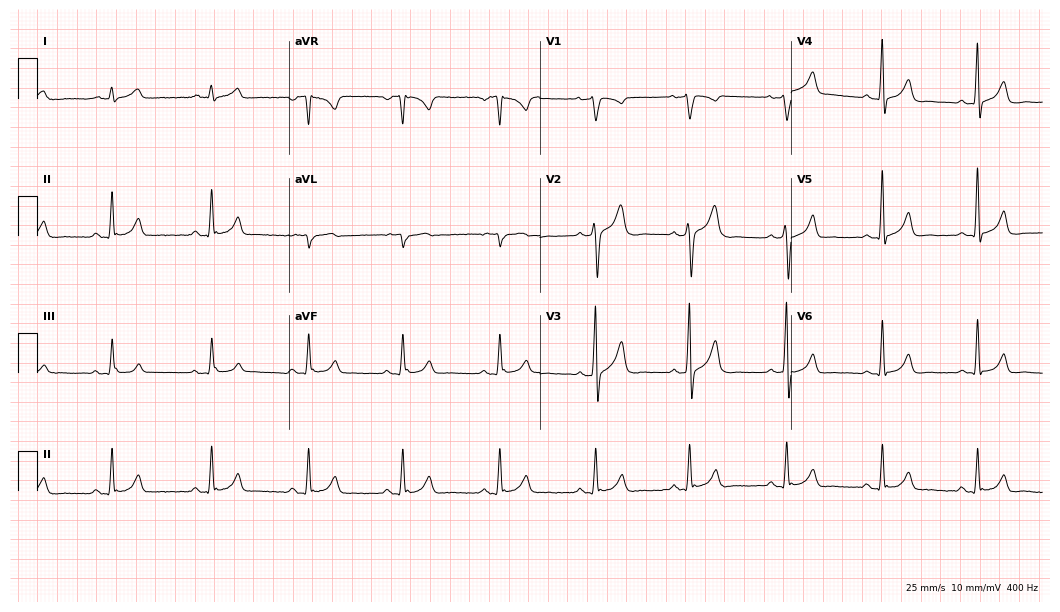
ECG (10.2-second recording at 400 Hz) — a 37-year-old man. Labelled as a normal ECG.